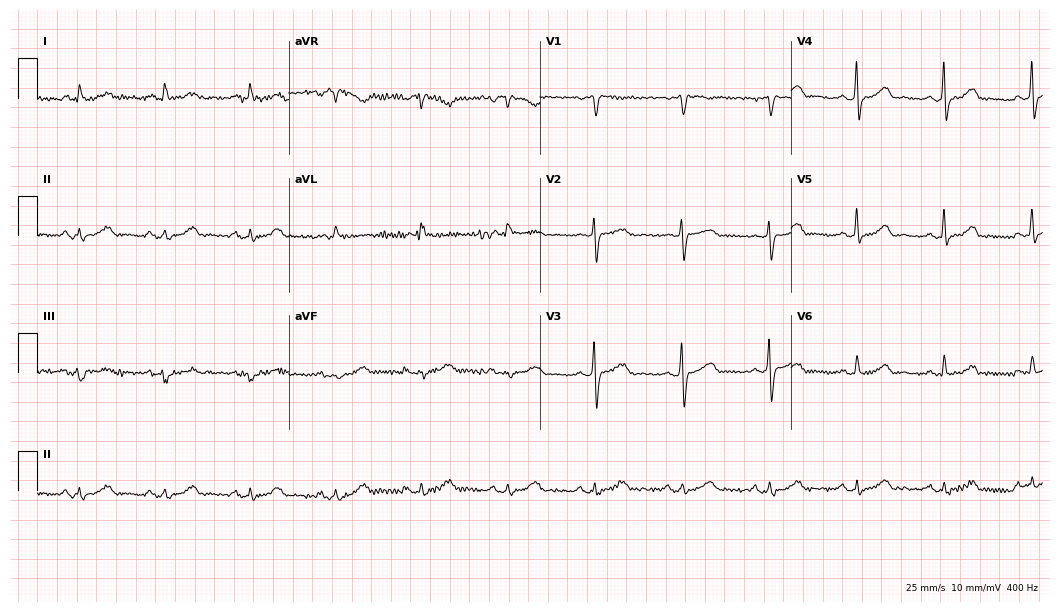
12-lead ECG from a 68-year-old male patient. Recorded interpretation: within normal limits.